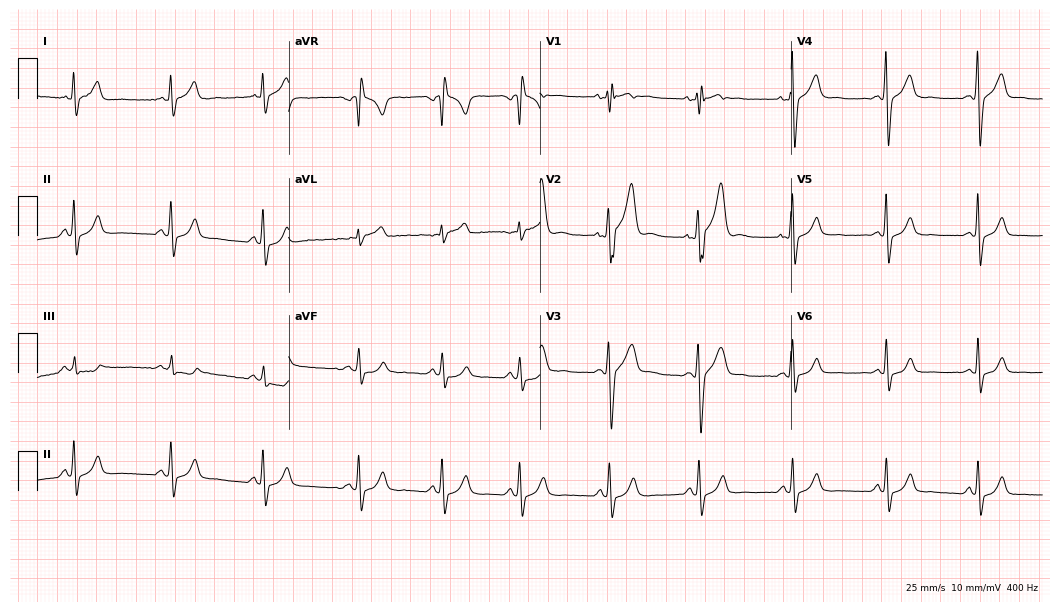
Standard 12-lead ECG recorded from a 26-year-old man (10.2-second recording at 400 Hz). None of these six findings is recorded: first-degree AV block, right bundle branch block (RBBB), left bundle branch block (LBBB), sinus bradycardia, atrial fibrillation (AF), sinus tachycardia. Other findings, if any, are not listed.